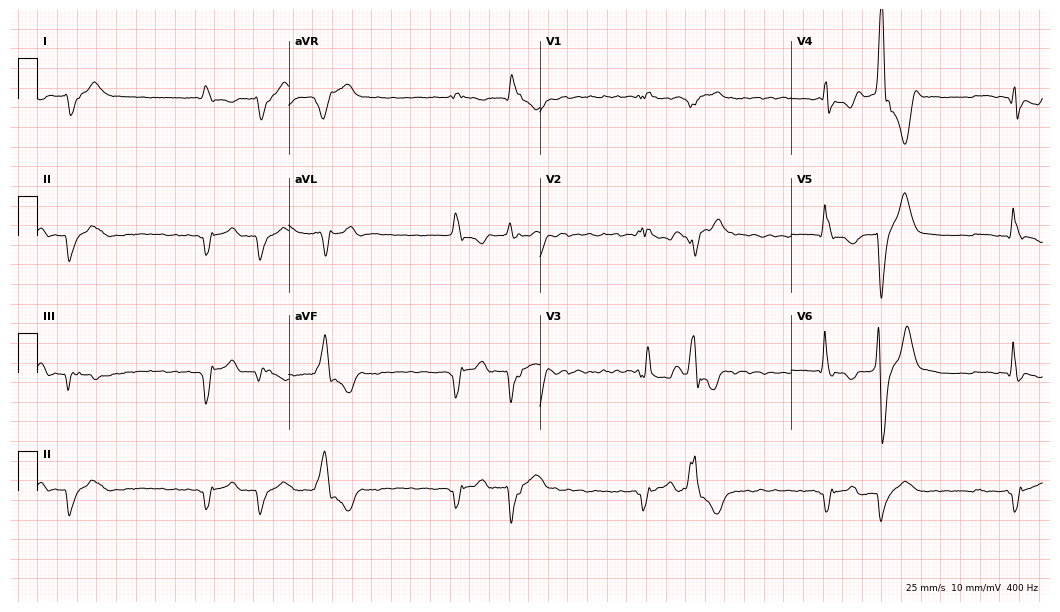
12-lead ECG from a man, 84 years old (10.2-second recording at 400 Hz). No first-degree AV block, right bundle branch block, left bundle branch block, sinus bradycardia, atrial fibrillation or sinus tachycardia recorded for this tracing.